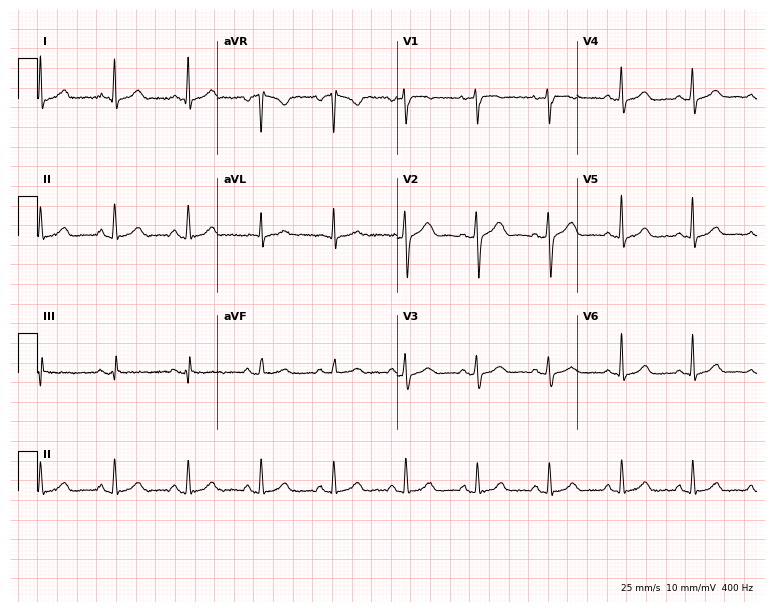
12-lead ECG from a female, 54 years old. Recorded interpretation: within normal limits.